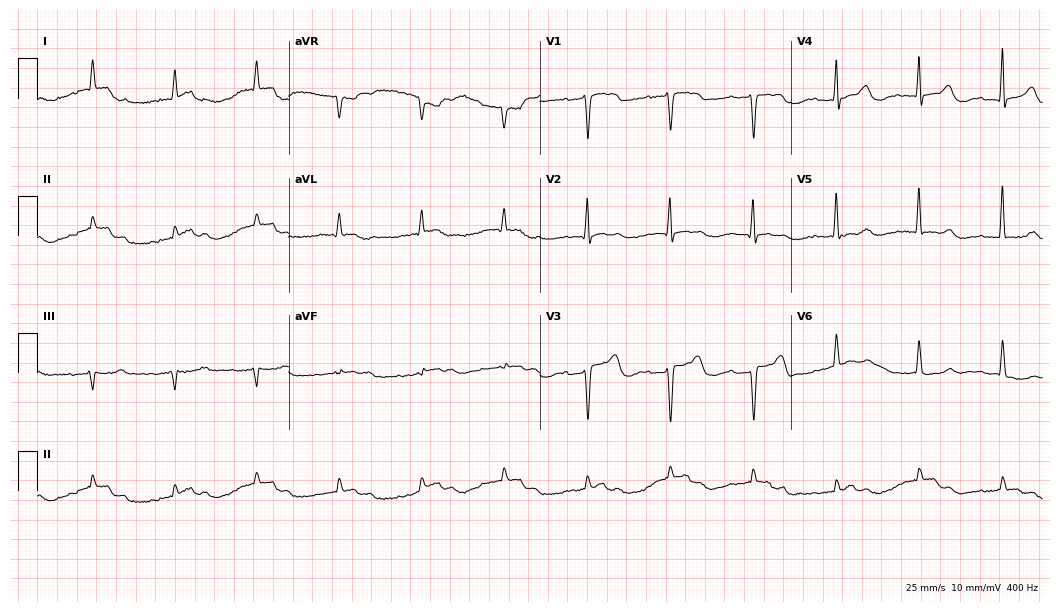
Resting 12-lead electrocardiogram (10.2-second recording at 400 Hz). Patient: an 82-year-old male. None of these six findings is recorded: first-degree AV block, right bundle branch block, left bundle branch block, sinus bradycardia, atrial fibrillation, sinus tachycardia.